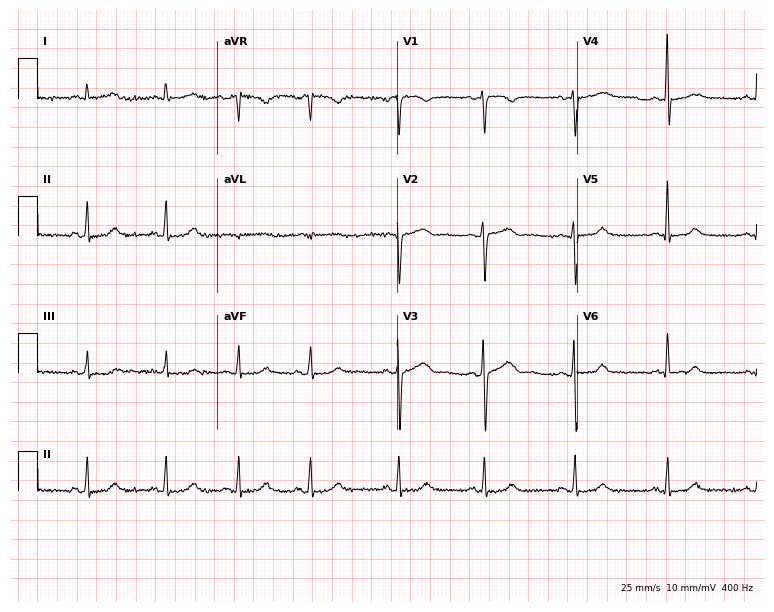
Resting 12-lead electrocardiogram (7.3-second recording at 400 Hz). Patient: a female, 32 years old. Read as a normal ECG.